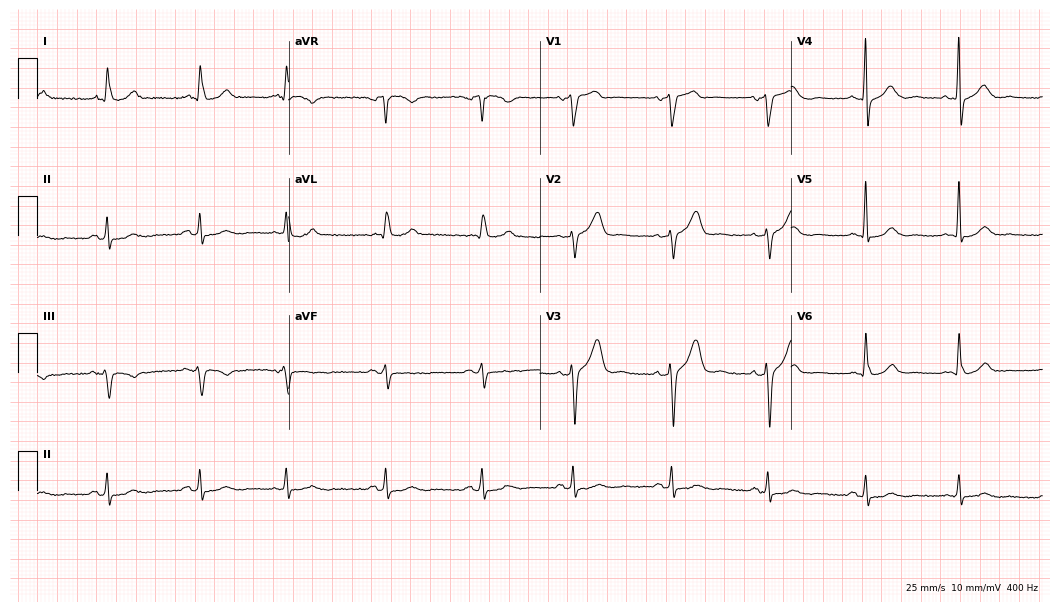
Electrocardiogram, a male, 78 years old. Overall reading on record: normal ECG.